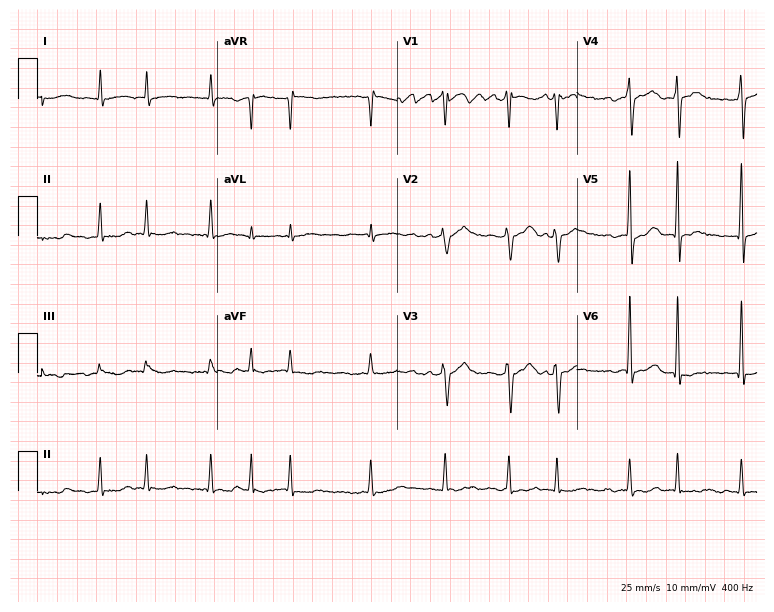
12-lead ECG from an 82-year-old male. Shows atrial fibrillation.